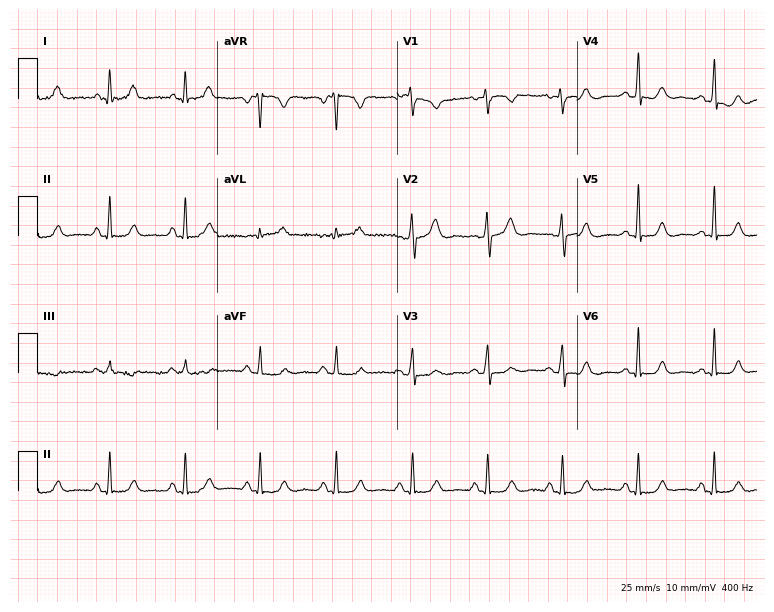
12-lead ECG from a female, 52 years old. Screened for six findings — first-degree AV block, right bundle branch block, left bundle branch block, sinus bradycardia, atrial fibrillation, sinus tachycardia — none is recorded.